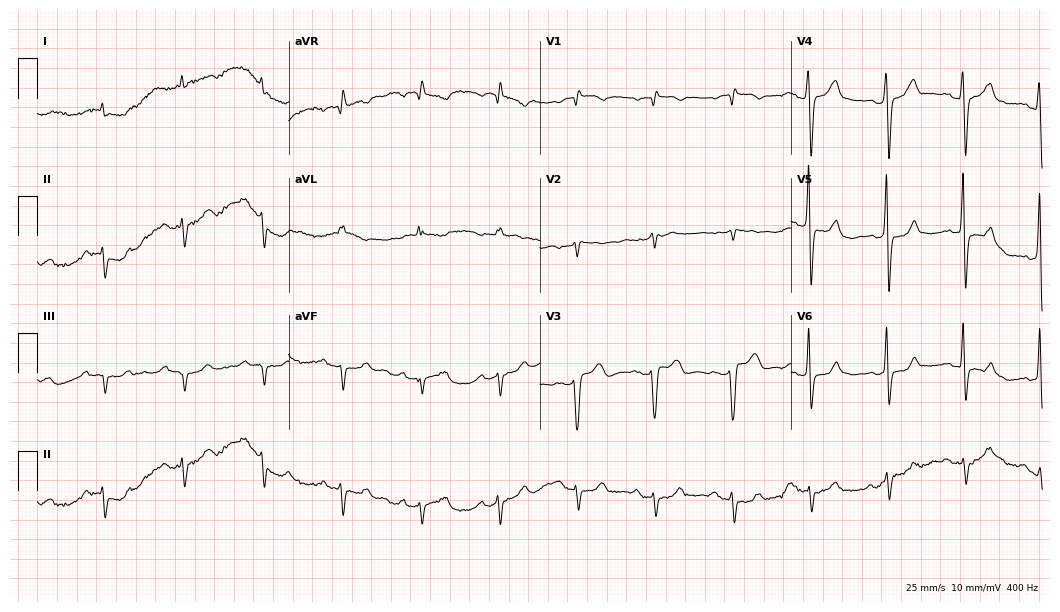
Resting 12-lead electrocardiogram (10.2-second recording at 400 Hz). Patient: a female, 79 years old. None of these six findings is recorded: first-degree AV block, right bundle branch block (RBBB), left bundle branch block (LBBB), sinus bradycardia, atrial fibrillation (AF), sinus tachycardia. Only these six findings were labelled.